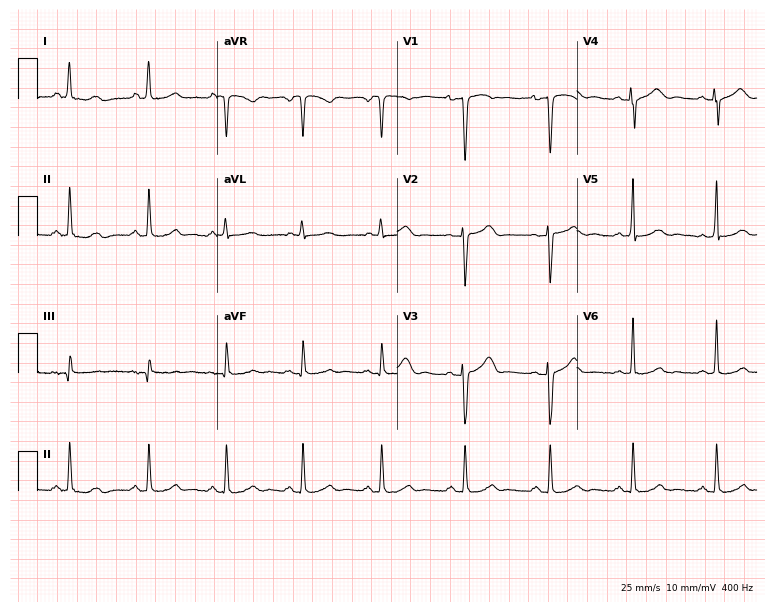
Standard 12-lead ECG recorded from a female, 37 years old (7.3-second recording at 400 Hz). None of these six findings is recorded: first-degree AV block, right bundle branch block, left bundle branch block, sinus bradycardia, atrial fibrillation, sinus tachycardia. Other findings, if any, are not listed.